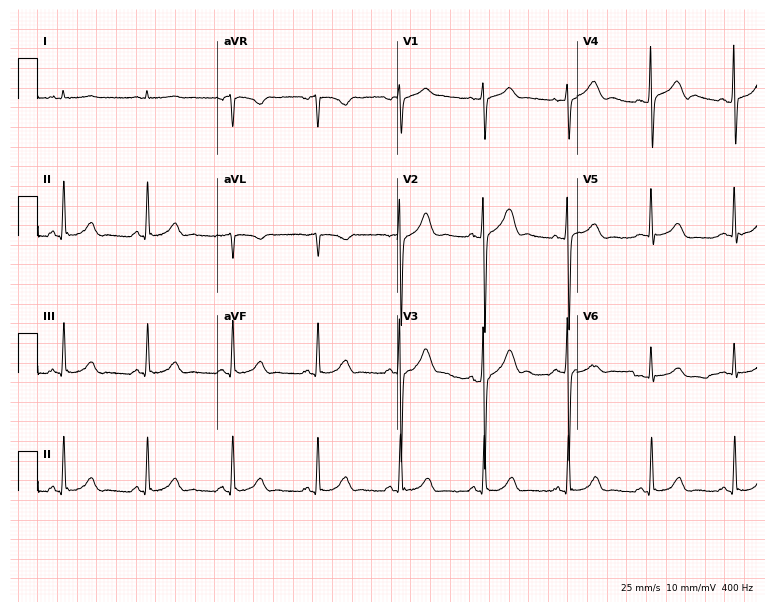
Standard 12-lead ECG recorded from a male patient, 69 years old (7.3-second recording at 400 Hz). None of these six findings is recorded: first-degree AV block, right bundle branch block, left bundle branch block, sinus bradycardia, atrial fibrillation, sinus tachycardia. Other findings, if any, are not listed.